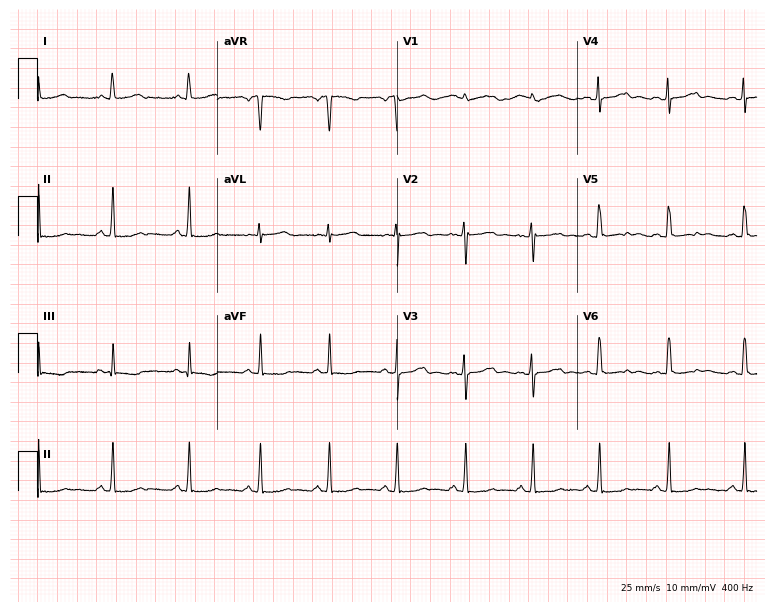
Electrocardiogram, a female patient, 20 years old. Of the six screened findings (first-degree AV block, right bundle branch block, left bundle branch block, sinus bradycardia, atrial fibrillation, sinus tachycardia), none is recorded. Other findings, if any, are not listed.